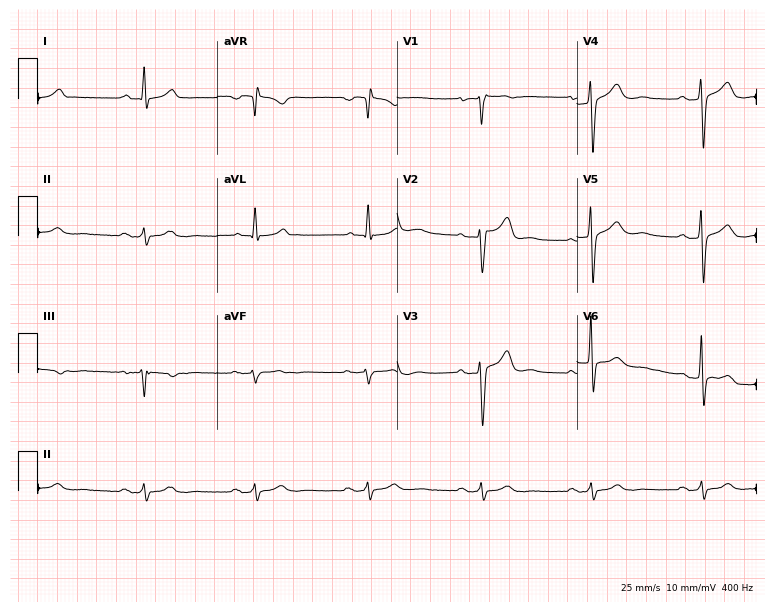
Standard 12-lead ECG recorded from a man, 44 years old. The tracing shows first-degree AV block.